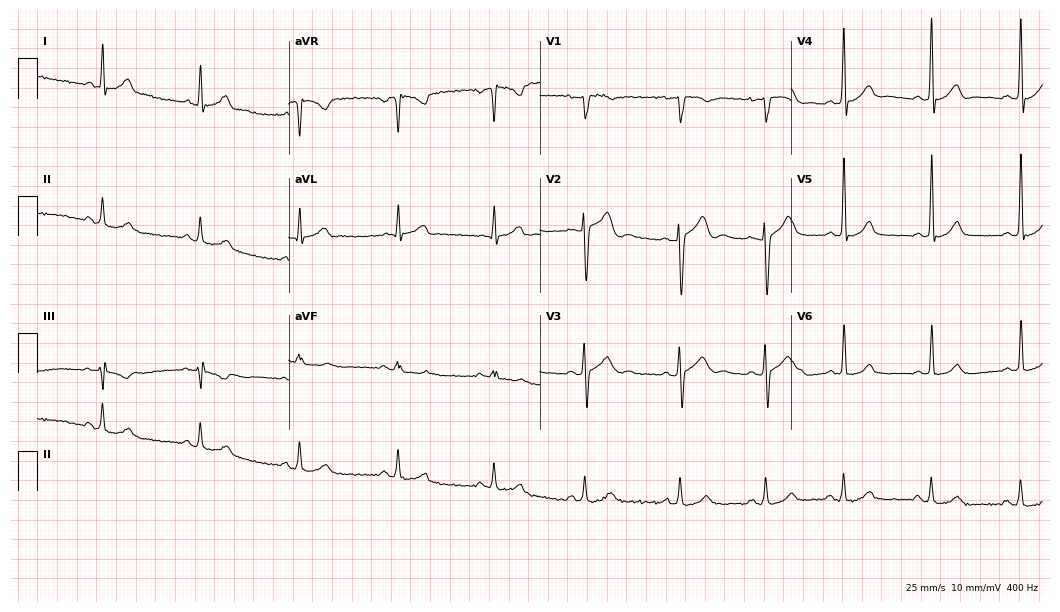
12-lead ECG (10.2-second recording at 400 Hz) from a 29-year-old male patient. Labelled as a normal ECG.